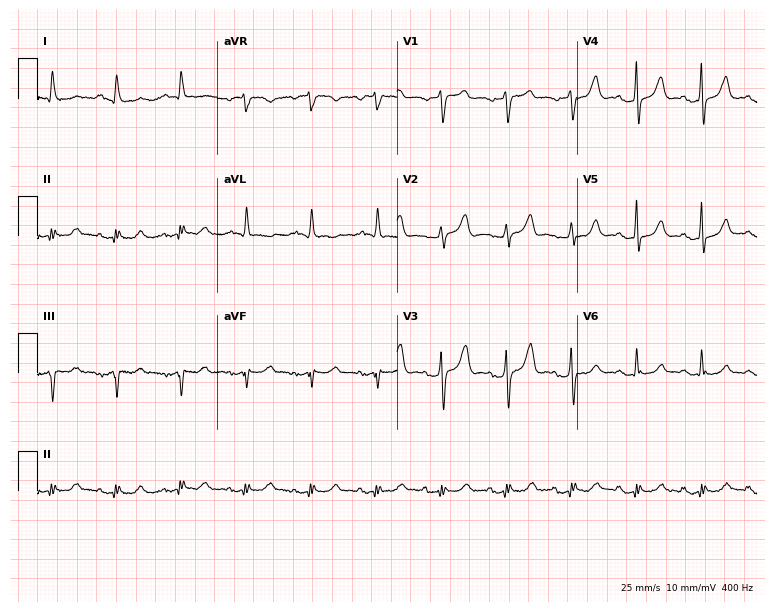
Standard 12-lead ECG recorded from a 71-year-old woman. None of these six findings is recorded: first-degree AV block, right bundle branch block, left bundle branch block, sinus bradycardia, atrial fibrillation, sinus tachycardia. Other findings, if any, are not listed.